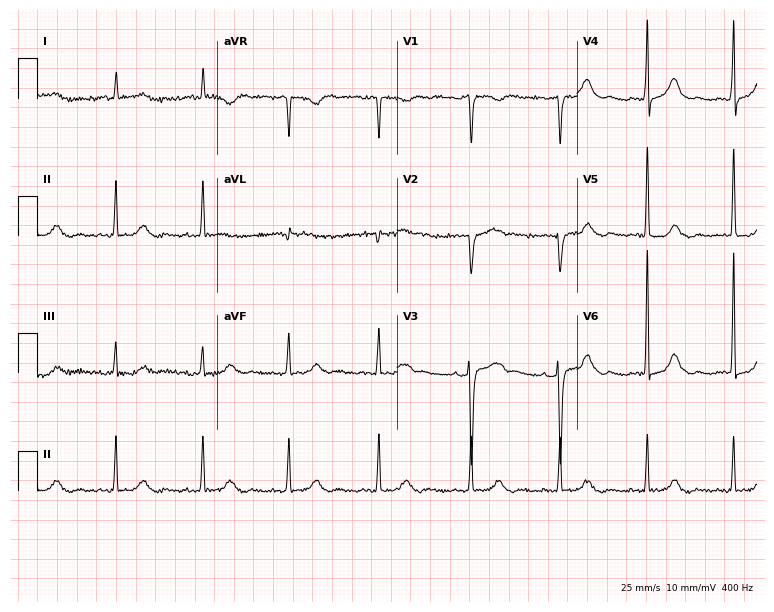
Resting 12-lead electrocardiogram (7.3-second recording at 400 Hz). Patient: a 63-year-old female. None of these six findings is recorded: first-degree AV block, right bundle branch block (RBBB), left bundle branch block (LBBB), sinus bradycardia, atrial fibrillation (AF), sinus tachycardia. Only these six findings were labelled.